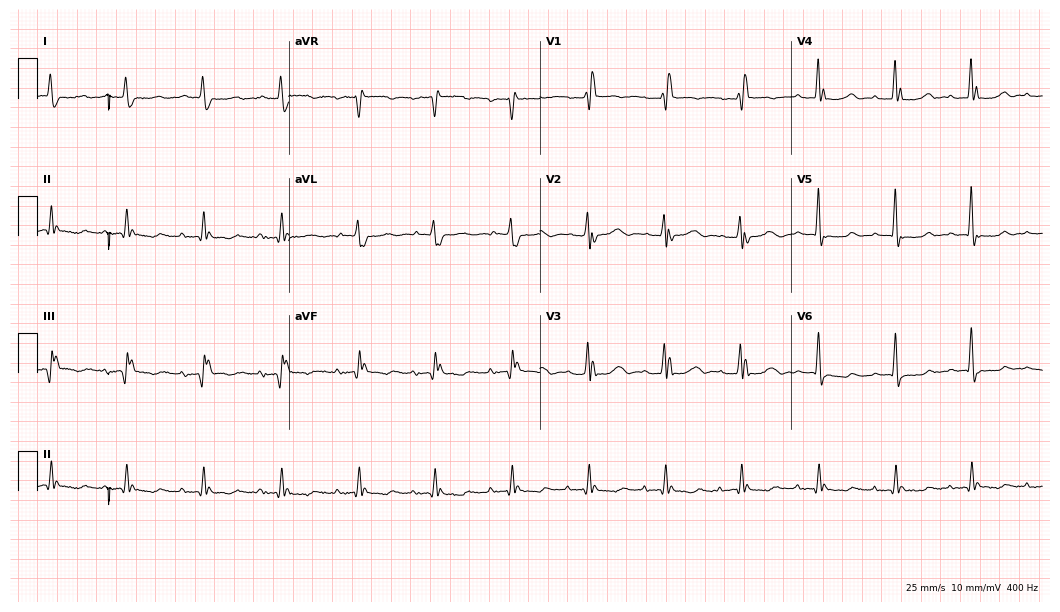
ECG (10.2-second recording at 400 Hz) — an 83-year-old man. Findings include right bundle branch block.